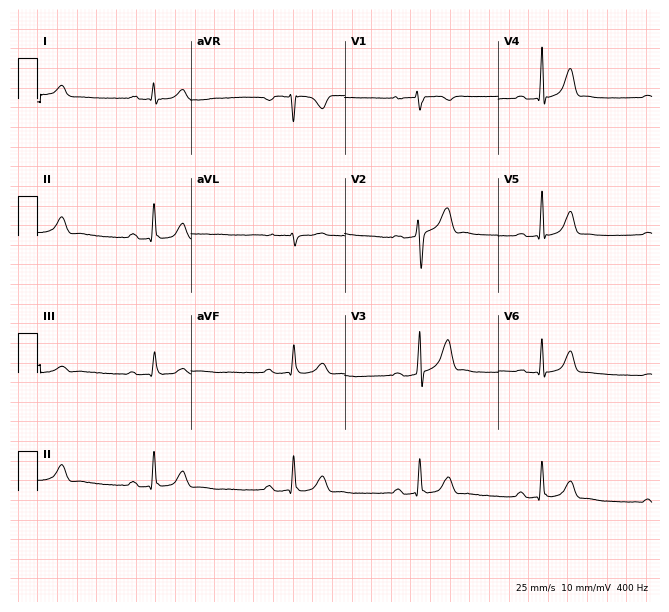
Electrocardiogram, a male, 36 years old. Of the six screened findings (first-degree AV block, right bundle branch block (RBBB), left bundle branch block (LBBB), sinus bradycardia, atrial fibrillation (AF), sinus tachycardia), none is recorded.